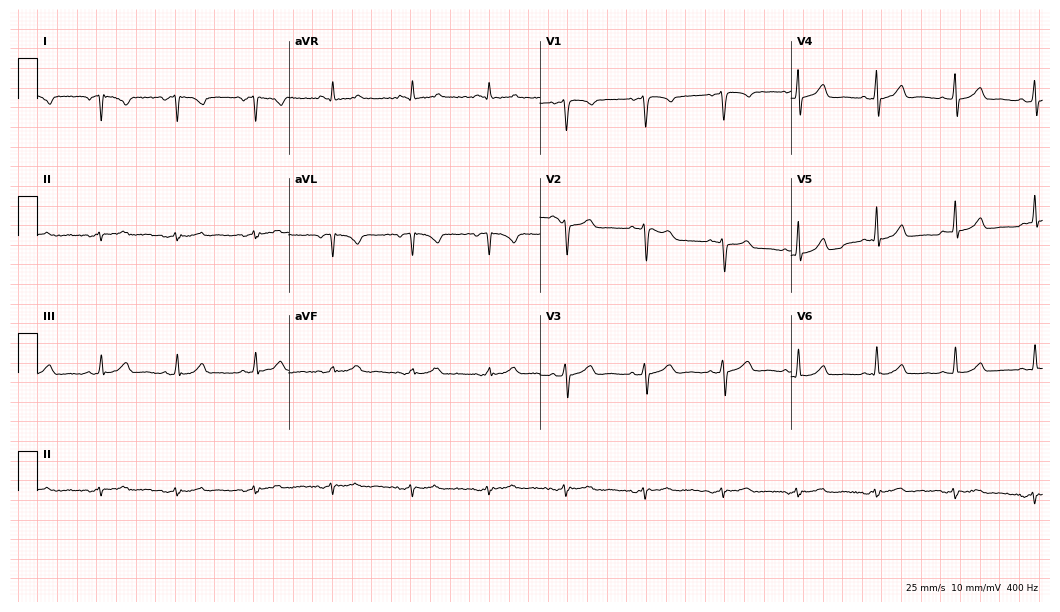
Resting 12-lead electrocardiogram (10.2-second recording at 400 Hz). Patient: a female, 39 years old. None of these six findings is recorded: first-degree AV block, right bundle branch block, left bundle branch block, sinus bradycardia, atrial fibrillation, sinus tachycardia. Only these six findings were labelled.